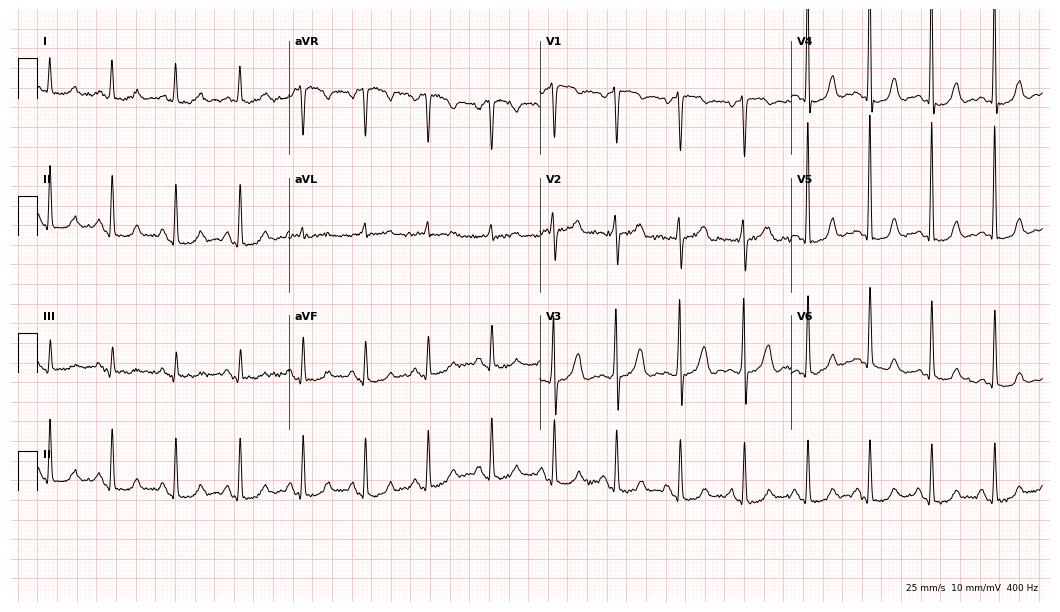
Electrocardiogram (10.2-second recording at 400 Hz), a 60-year-old female patient. Overall reading on record: normal ECG.